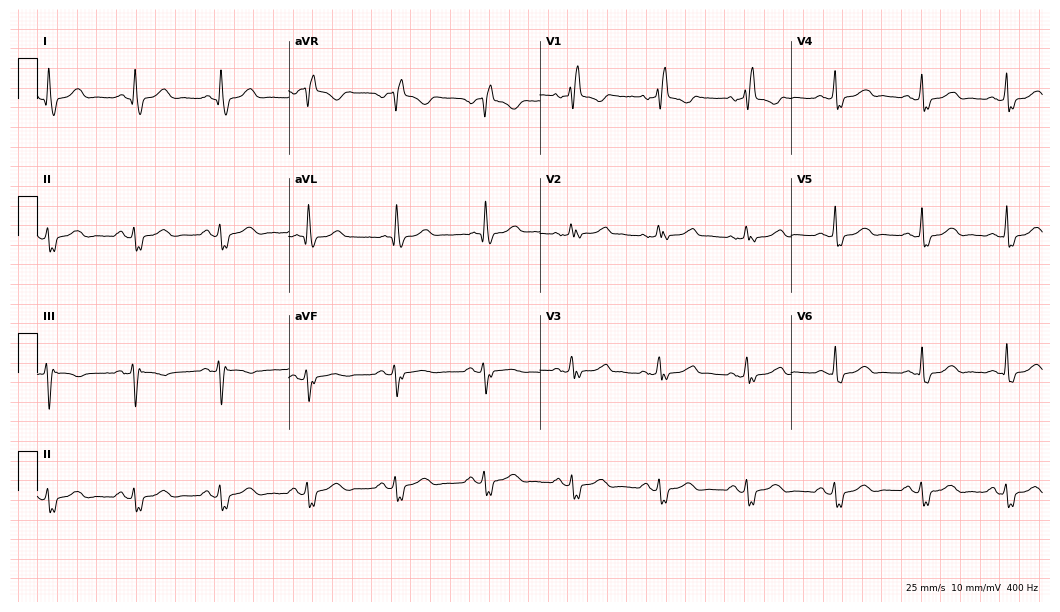
ECG — a woman, 68 years old. Findings include right bundle branch block (RBBB).